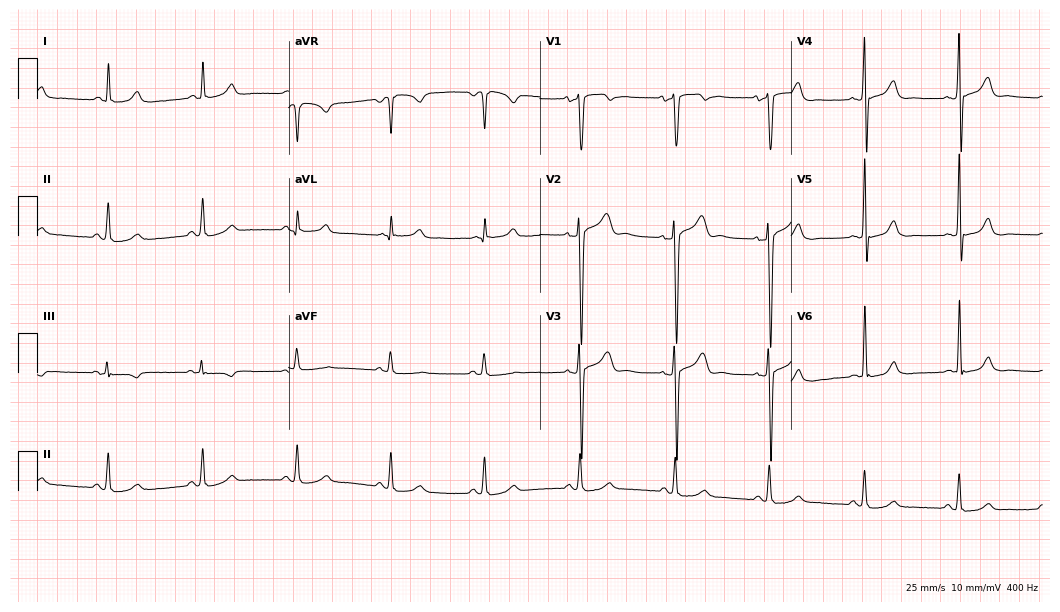
Electrocardiogram, a 60-year-old male patient. Overall reading on record: normal ECG.